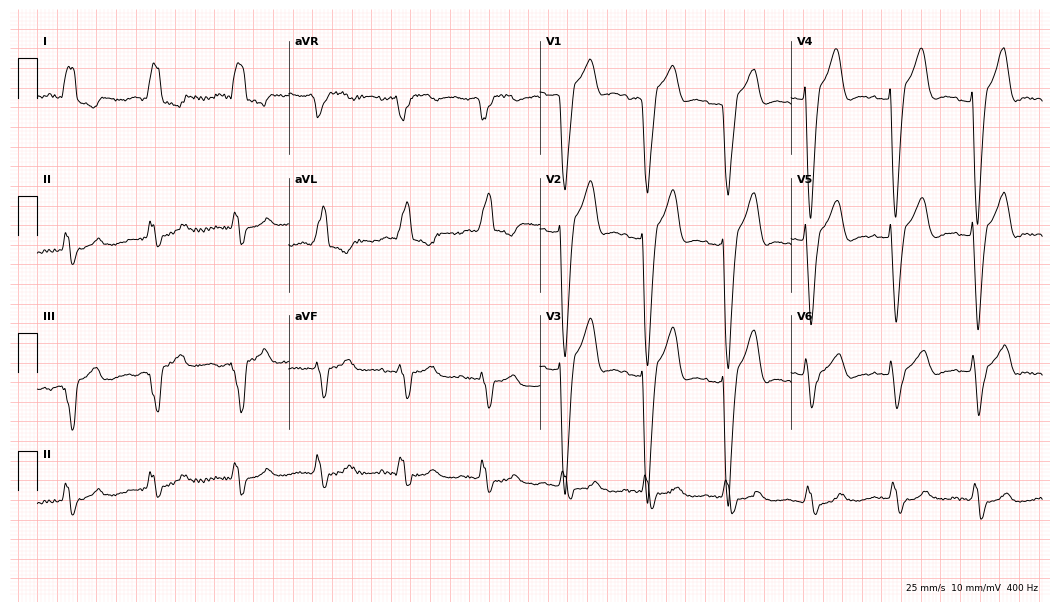
Standard 12-lead ECG recorded from a female patient, 72 years old. The tracing shows left bundle branch block.